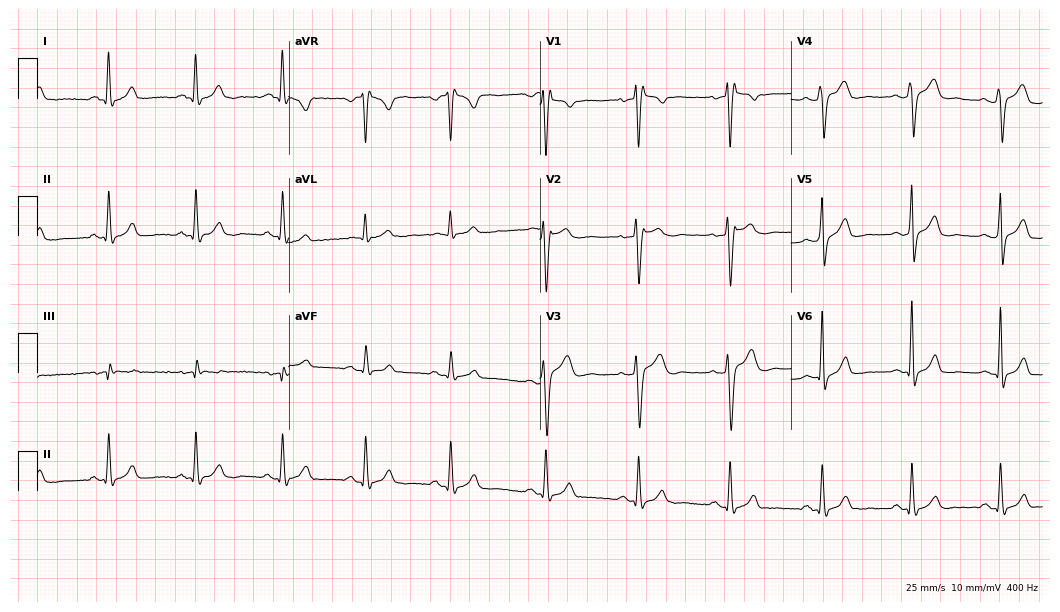
12-lead ECG from a 34-year-old male. Findings include right bundle branch block (RBBB).